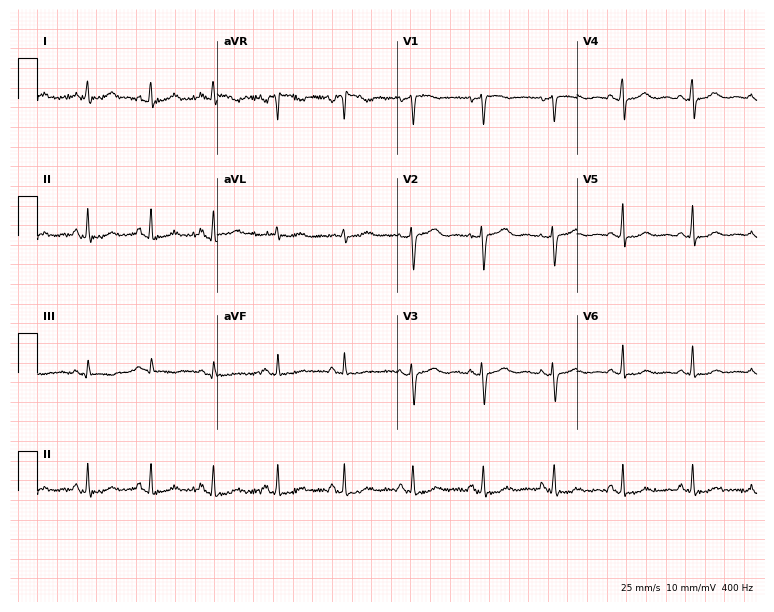
Resting 12-lead electrocardiogram (7.3-second recording at 400 Hz). Patient: a 48-year-old woman. Read as a normal ECG.